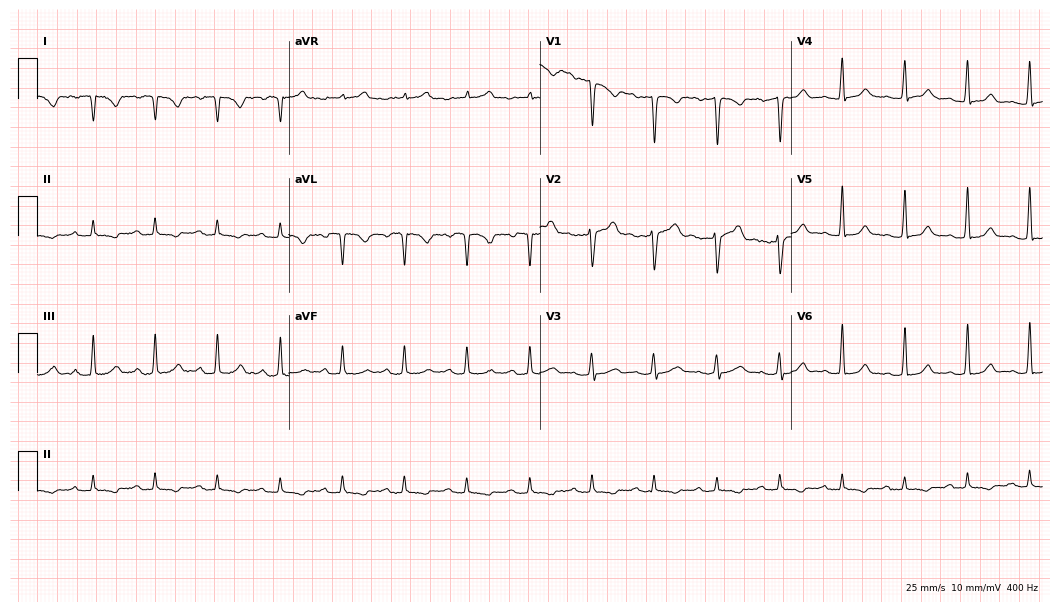
Resting 12-lead electrocardiogram (10.2-second recording at 400 Hz). Patient: a female, 26 years old. None of these six findings is recorded: first-degree AV block, right bundle branch block, left bundle branch block, sinus bradycardia, atrial fibrillation, sinus tachycardia.